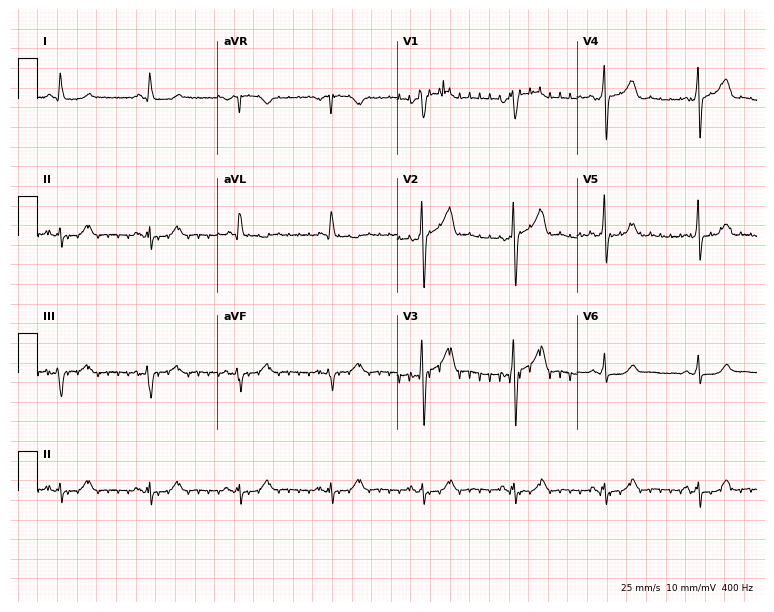
ECG — a man, 74 years old. Screened for six findings — first-degree AV block, right bundle branch block (RBBB), left bundle branch block (LBBB), sinus bradycardia, atrial fibrillation (AF), sinus tachycardia — none is recorded.